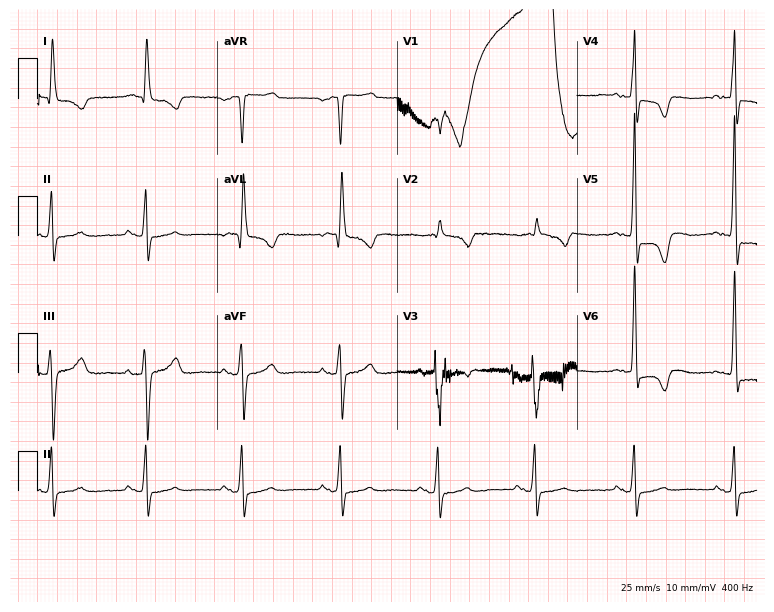
Electrocardiogram, a female patient, 85 years old. Of the six screened findings (first-degree AV block, right bundle branch block (RBBB), left bundle branch block (LBBB), sinus bradycardia, atrial fibrillation (AF), sinus tachycardia), none is recorded.